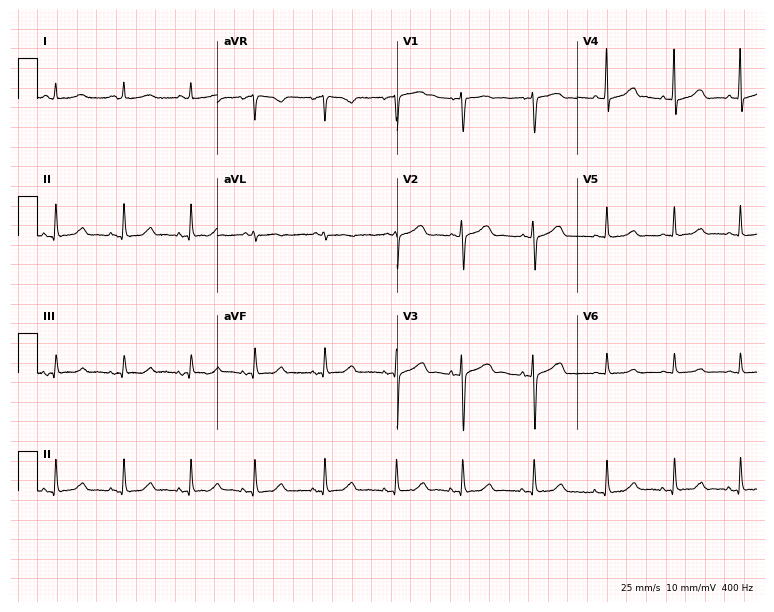
ECG (7.3-second recording at 400 Hz) — a female, 79 years old. Screened for six findings — first-degree AV block, right bundle branch block, left bundle branch block, sinus bradycardia, atrial fibrillation, sinus tachycardia — none is recorded. Findings outside these six are not listed.